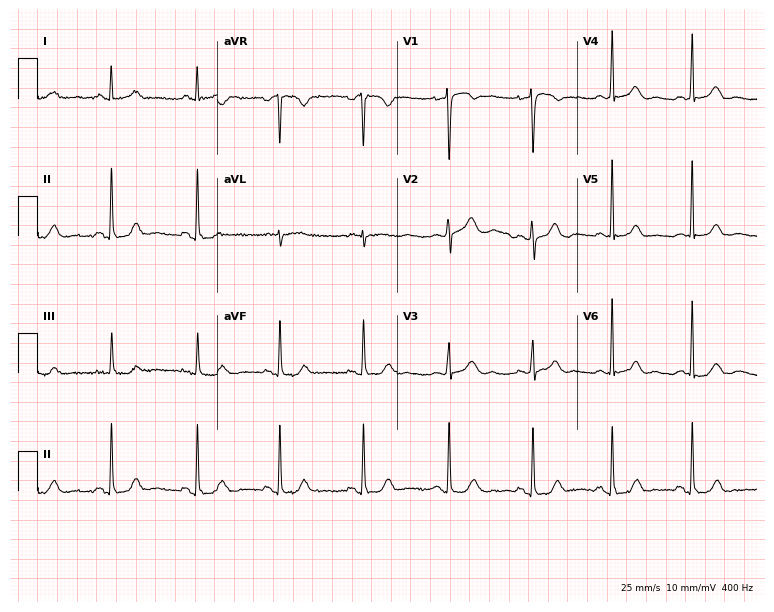
12-lead ECG from a 47-year-old female. No first-degree AV block, right bundle branch block, left bundle branch block, sinus bradycardia, atrial fibrillation or sinus tachycardia recorded for this tracing.